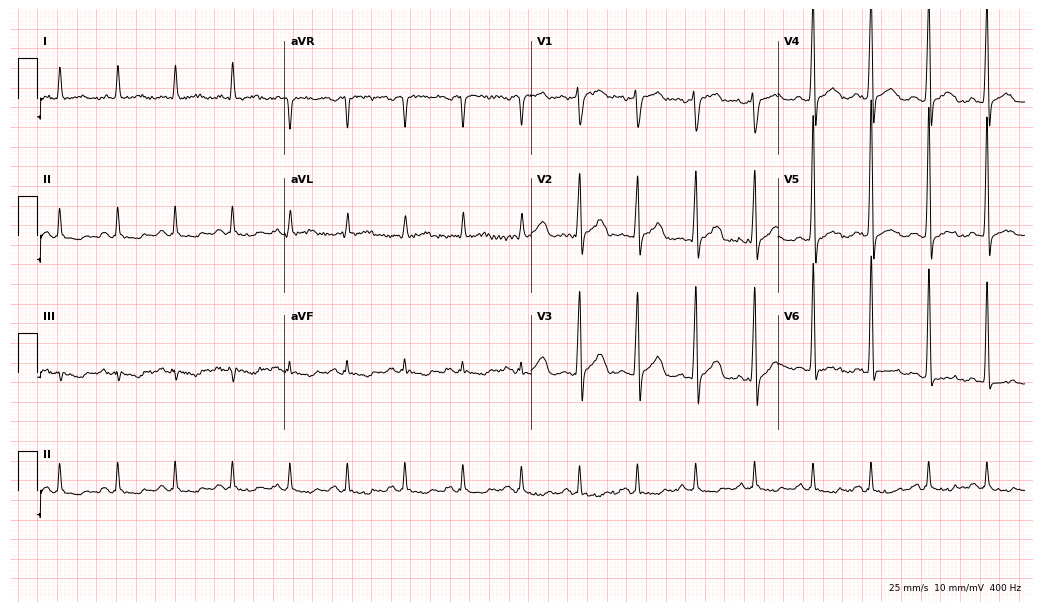
12-lead ECG from a man, 75 years old (10.1-second recording at 400 Hz). No first-degree AV block, right bundle branch block (RBBB), left bundle branch block (LBBB), sinus bradycardia, atrial fibrillation (AF) or sinus tachycardia recorded for this tracing. Only these six findings were labelled.